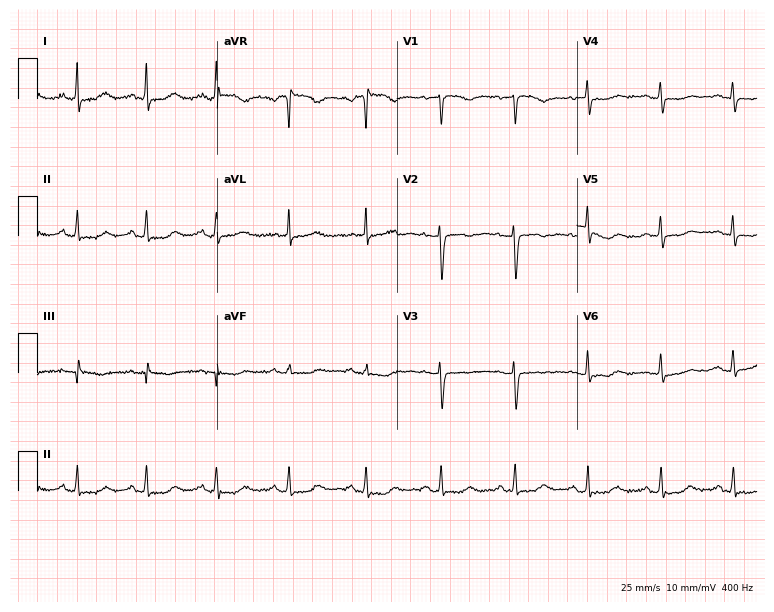
12-lead ECG from a female, 59 years old. Screened for six findings — first-degree AV block, right bundle branch block, left bundle branch block, sinus bradycardia, atrial fibrillation, sinus tachycardia — none is recorded. Other findings, if any, are not listed.